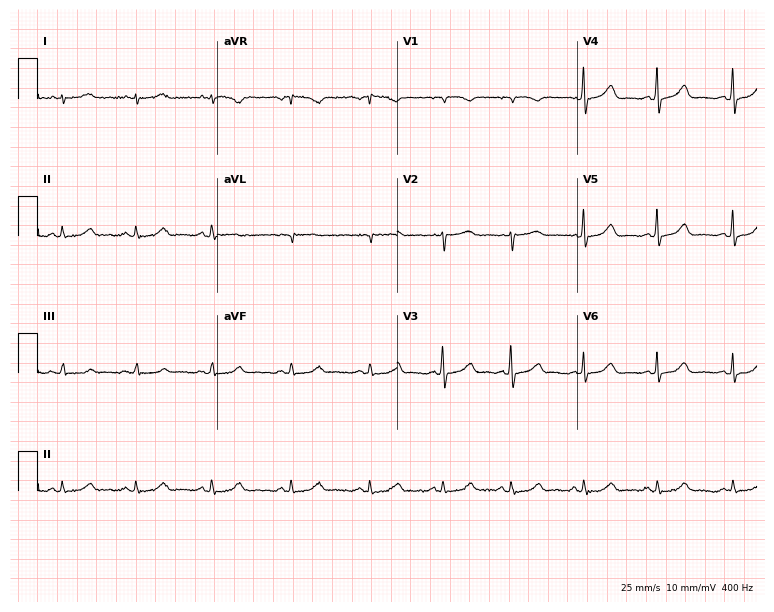
12-lead ECG from a woman, 46 years old. Labelled as a normal ECG.